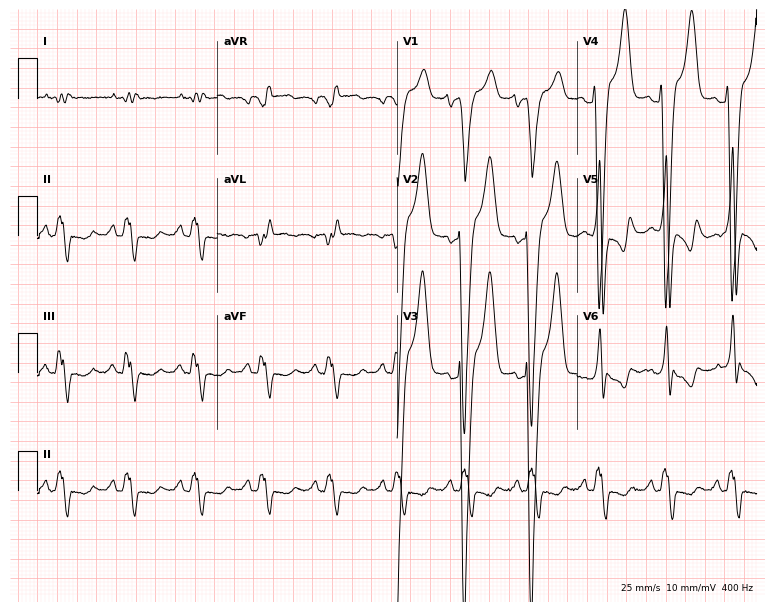
12-lead ECG (7.3-second recording at 400 Hz) from a male patient, 56 years old. Findings include left bundle branch block.